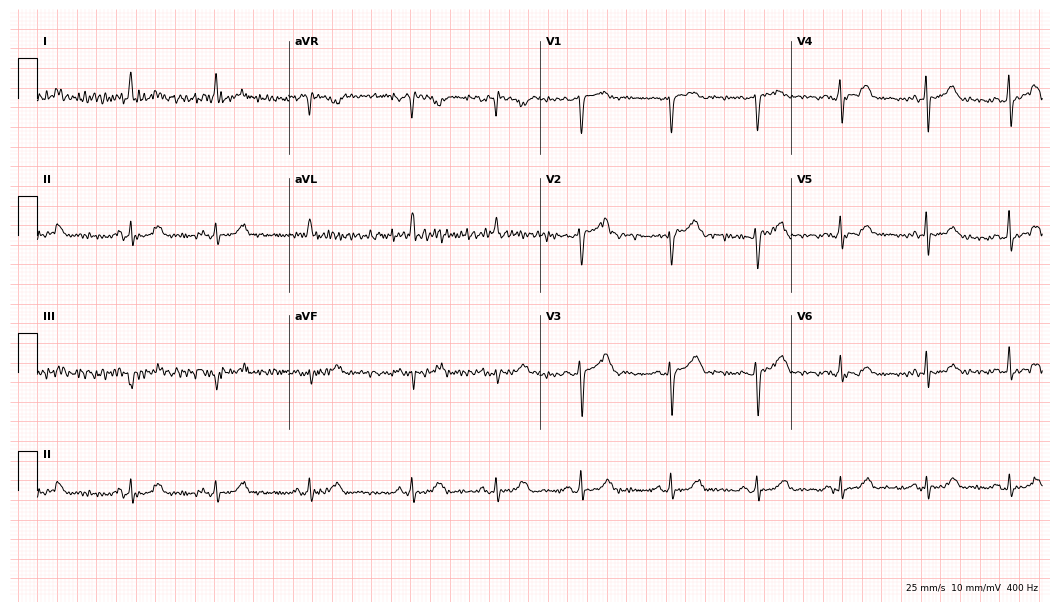
Resting 12-lead electrocardiogram (10.2-second recording at 400 Hz). Patient: a 75-year-old female. Read as a normal ECG.